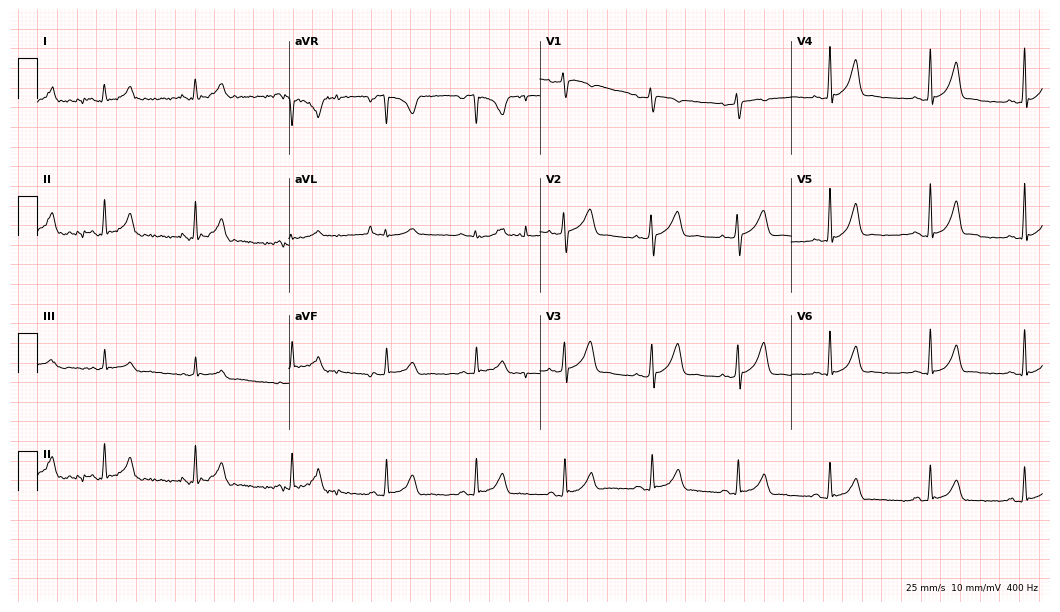
12-lead ECG from a 28-year-old woman. No first-degree AV block, right bundle branch block, left bundle branch block, sinus bradycardia, atrial fibrillation or sinus tachycardia recorded for this tracing.